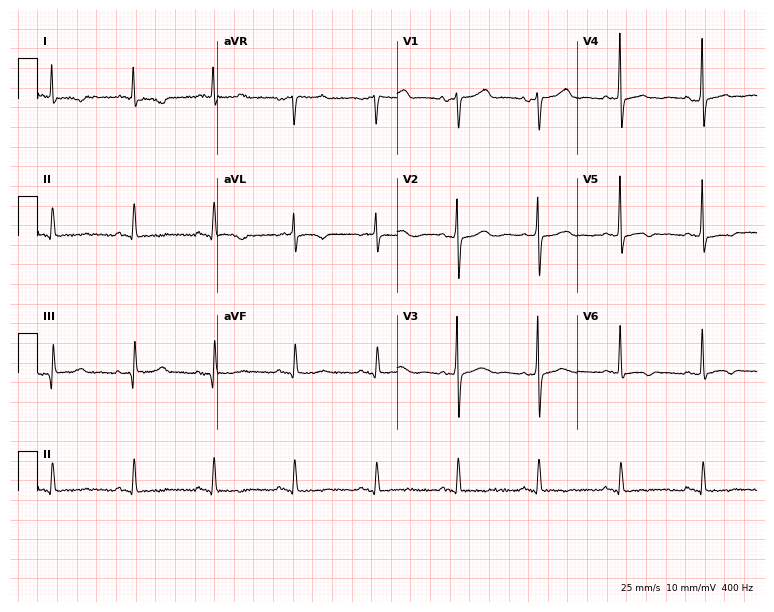
Electrocardiogram (7.3-second recording at 400 Hz), an 81-year-old woman. Of the six screened findings (first-degree AV block, right bundle branch block (RBBB), left bundle branch block (LBBB), sinus bradycardia, atrial fibrillation (AF), sinus tachycardia), none is recorded. Findings outside these six are not listed.